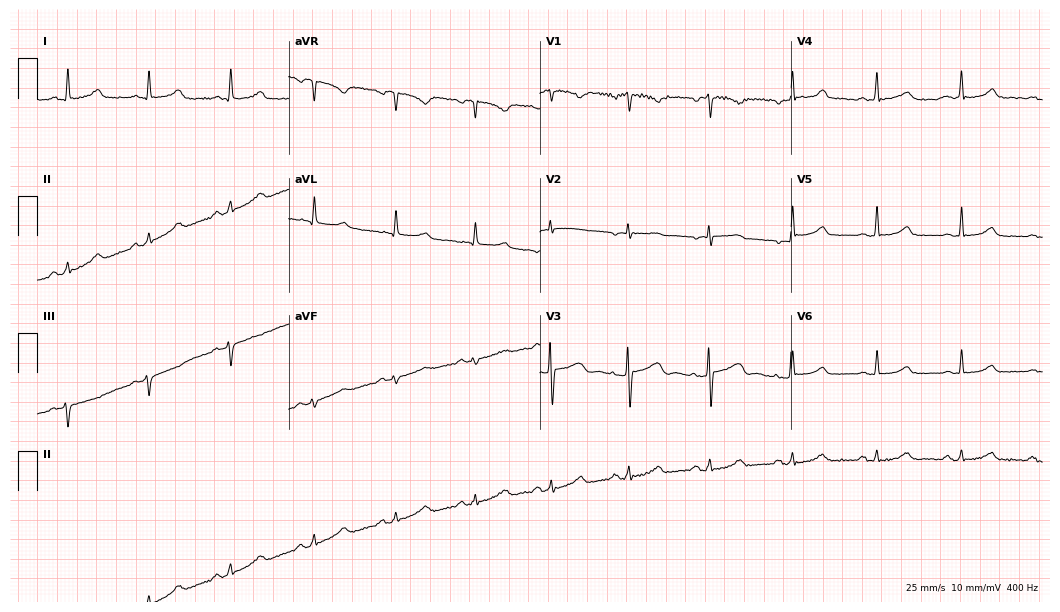
12-lead ECG from a 37-year-old female patient (10.2-second recording at 400 Hz). Recorded interpretation: within normal limits.